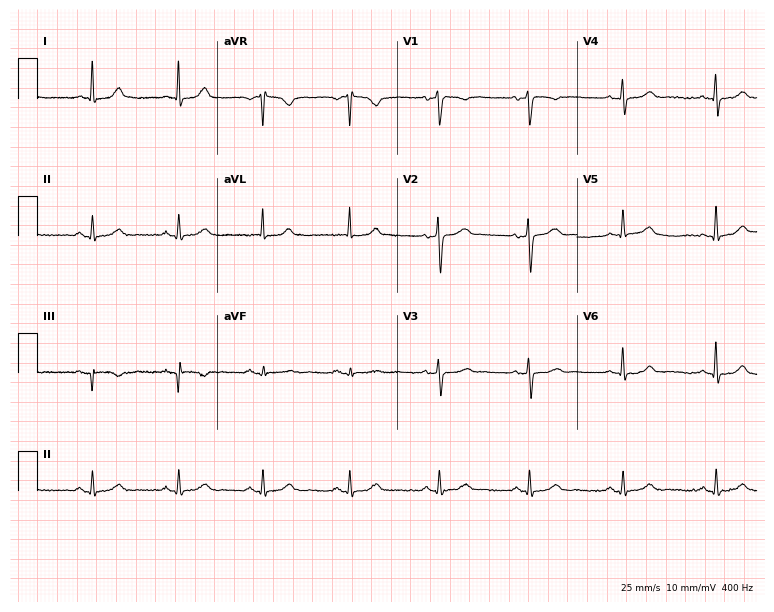
Standard 12-lead ECG recorded from a 48-year-old female patient. Read as a normal ECG.